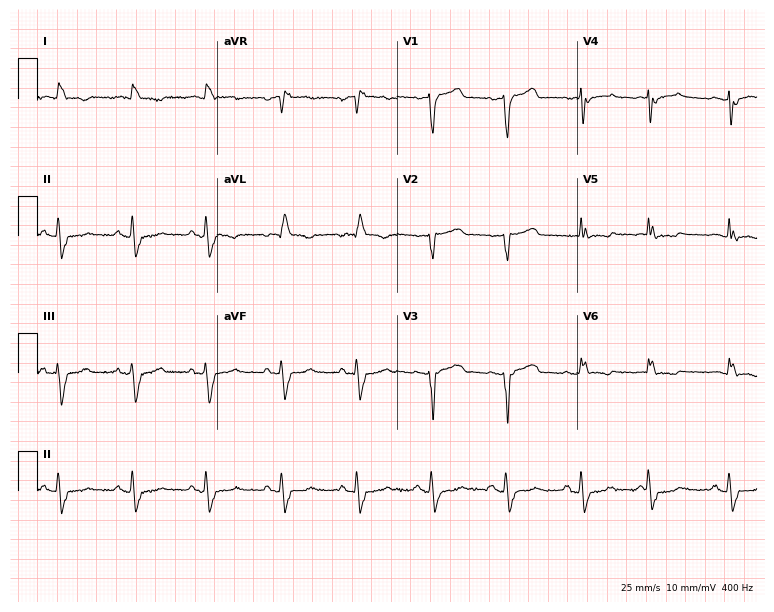
ECG (7.3-second recording at 400 Hz) — a male patient, 86 years old. Findings include left bundle branch block (LBBB).